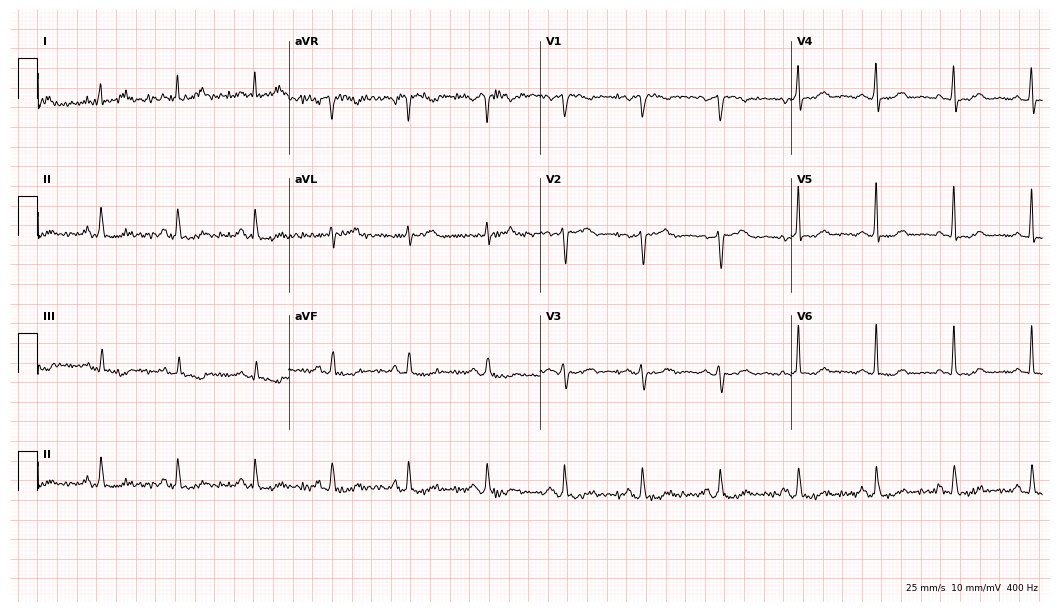
12-lead ECG from a female, 50 years old (10.2-second recording at 400 Hz). No first-degree AV block, right bundle branch block (RBBB), left bundle branch block (LBBB), sinus bradycardia, atrial fibrillation (AF) or sinus tachycardia recorded for this tracing. Other findings, if any, are not listed.